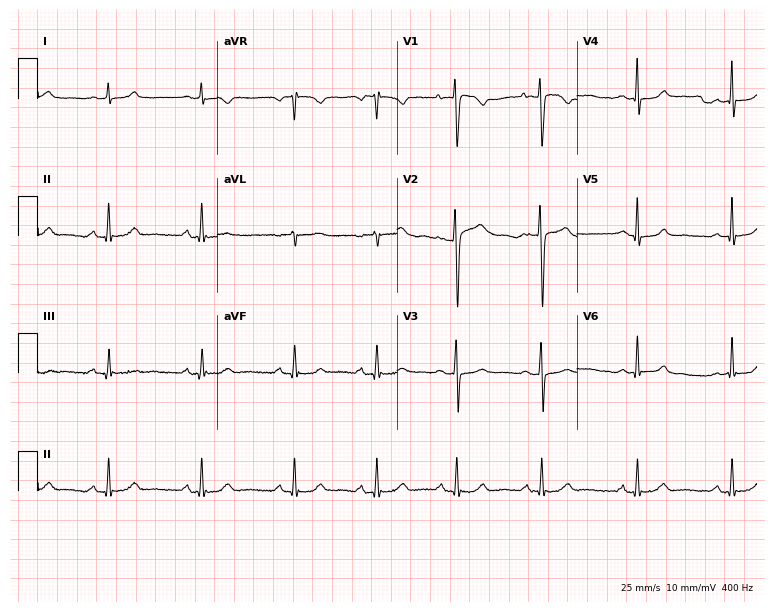
ECG (7.3-second recording at 400 Hz) — a woman, 34 years old. Labelled as a normal ECG.